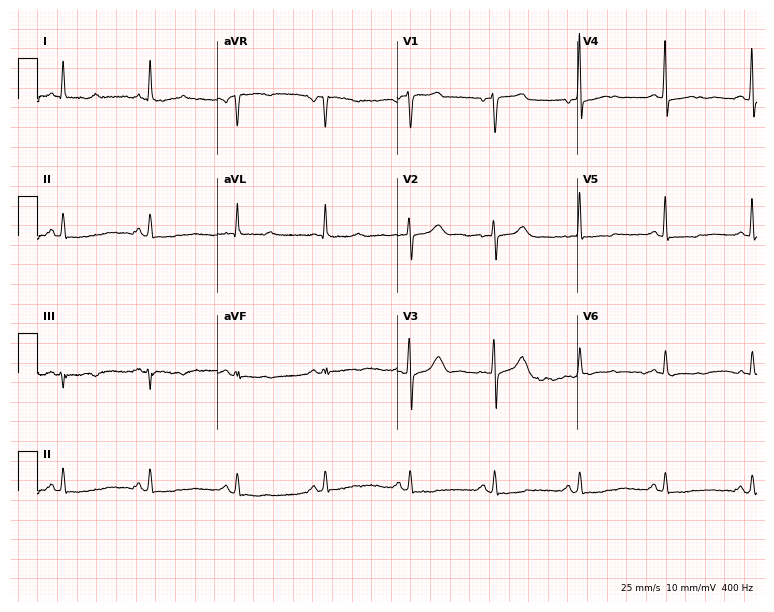
Electrocardiogram (7.3-second recording at 400 Hz), a female patient, 66 years old. Of the six screened findings (first-degree AV block, right bundle branch block (RBBB), left bundle branch block (LBBB), sinus bradycardia, atrial fibrillation (AF), sinus tachycardia), none is recorded. Only these six findings were labelled.